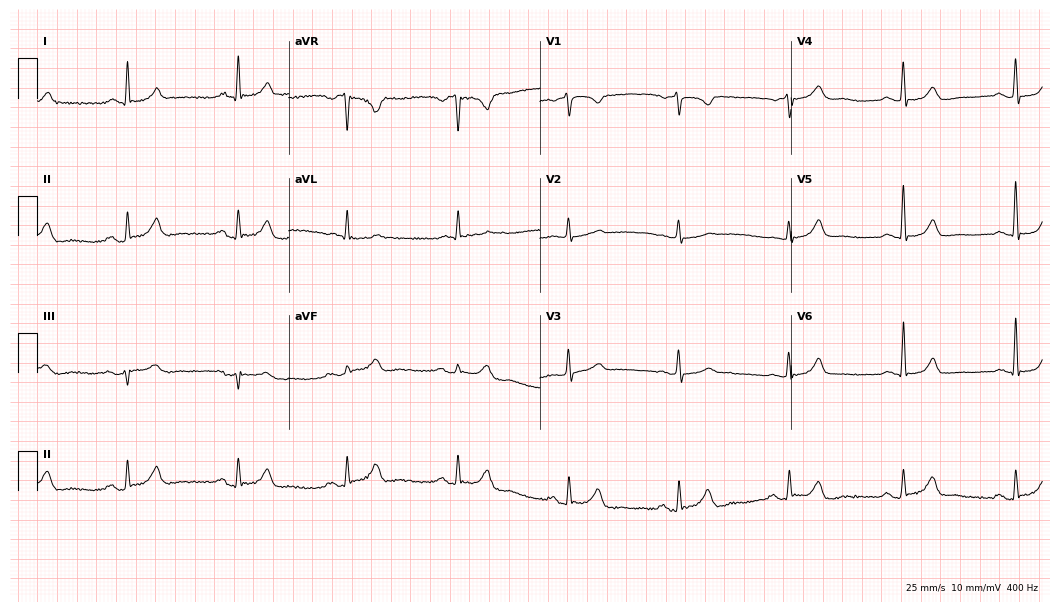
Electrocardiogram (10.2-second recording at 400 Hz), a female, 73 years old. Of the six screened findings (first-degree AV block, right bundle branch block (RBBB), left bundle branch block (LBBB), sinus bradycardia, atrial fibrillation (AF), sinus tachycardia), none is recorded.